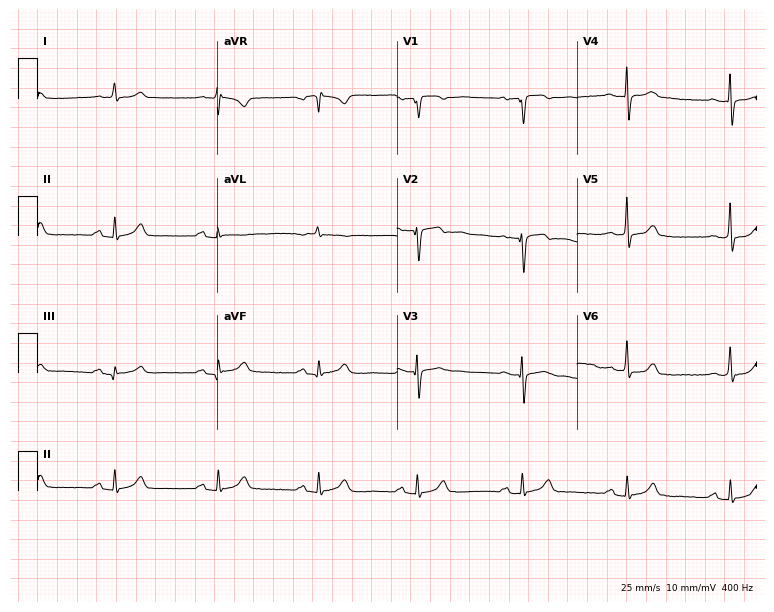
12-lead ECG (7.3-second recording at 400 Hz) from a male patient, 55 years old. Findings include first-degree AV block.